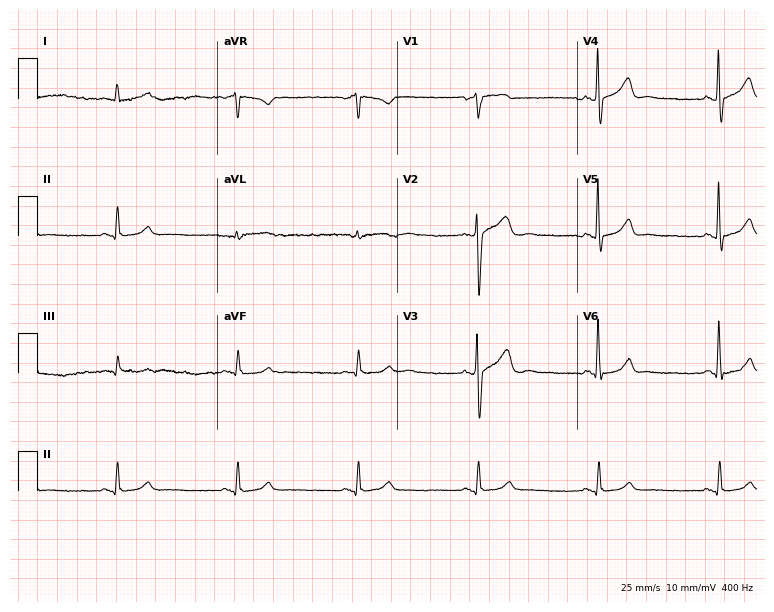
Resting 12-lead electrocardiogram (7.3-second recording at 400 Hz). Patient: a 72-year-old man. The tracing shows sinus bradycardia (a sinus rate of 50 beats per minute or less).